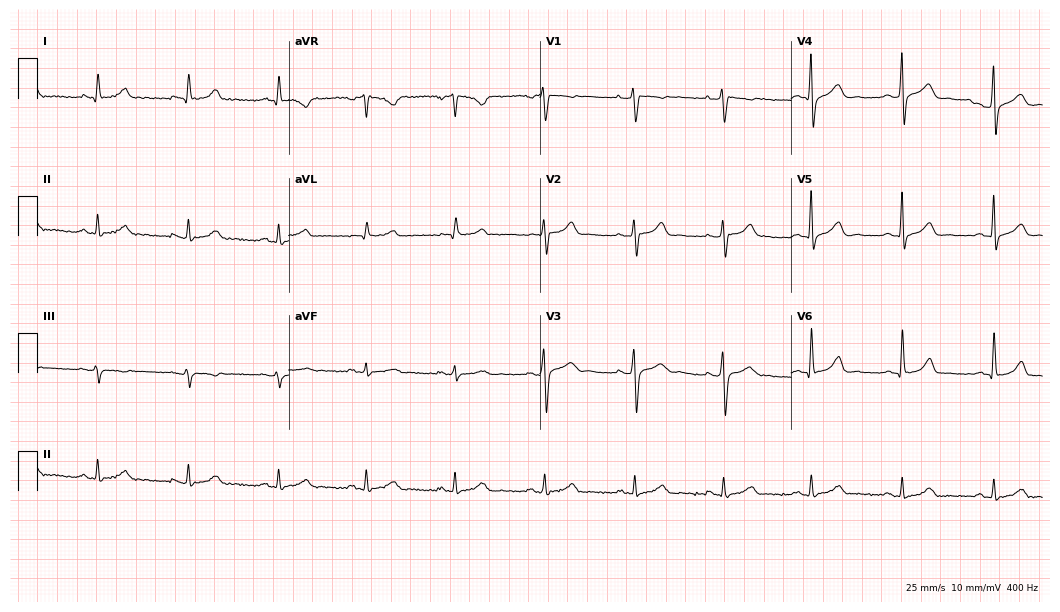
Resting 12-lead electrocardiogram. Patient: a 50-year-old male. Read as a normal ECG.